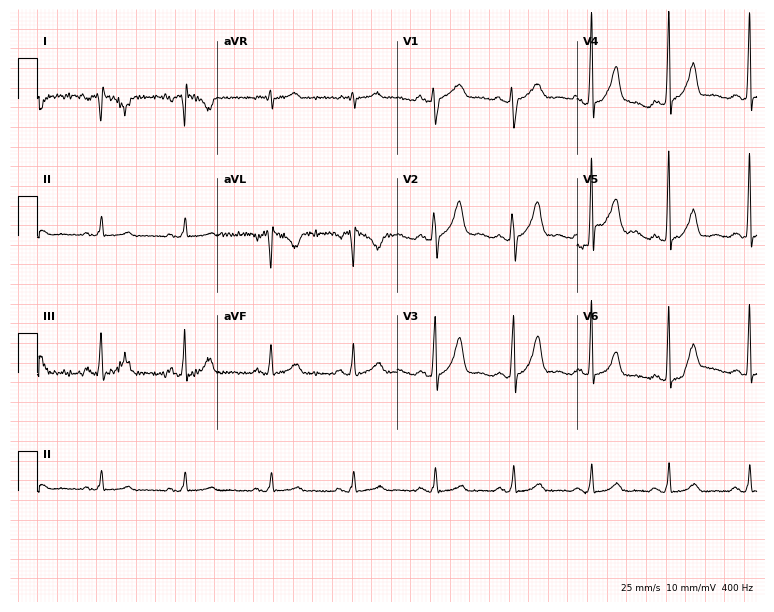
Standard 12-lead ECG recorded from a 32-year-old woman (7.3-second recording at 400 Hz). None of these six findings is recorded: first-degree AV block, right bundle branch block (RBBB), left bundle branch block (LBBB), sinus bradycardia, atrial fibrillation (AF), sinus tachycardia. Other findings, if any, are not listed.